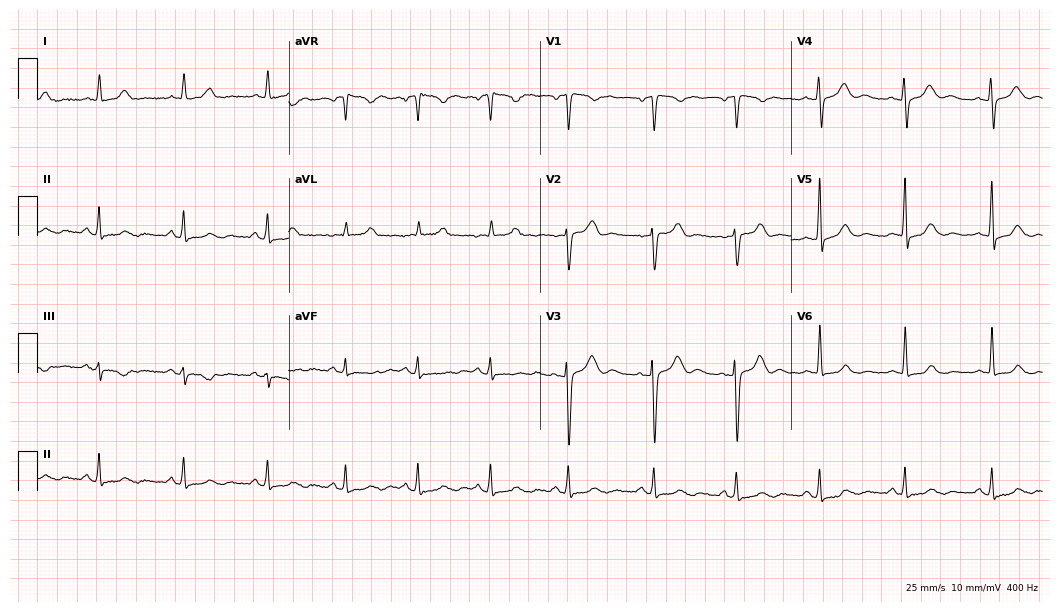
12-lead ECG from a female, 37 years old. Screened for six findings — first-degree AV block, right bundle branch block, left bundle branch block, sinus bradycardia, atrial fibrillation, sinus tachycardia — none is recorded.